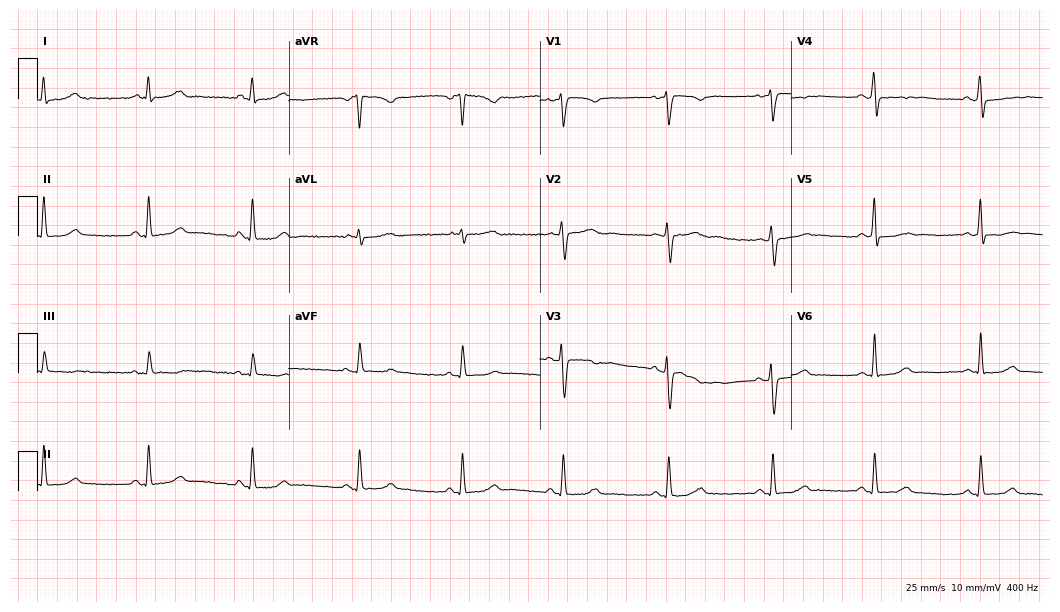
12-lead ECG from a 29-year-old female patient. Screened for six findings — first-degree AV block, right bundle branch block, left bundle branch block, sinus bradycardia, atrial fibrillation, sinus tachycardia — none is recorded.